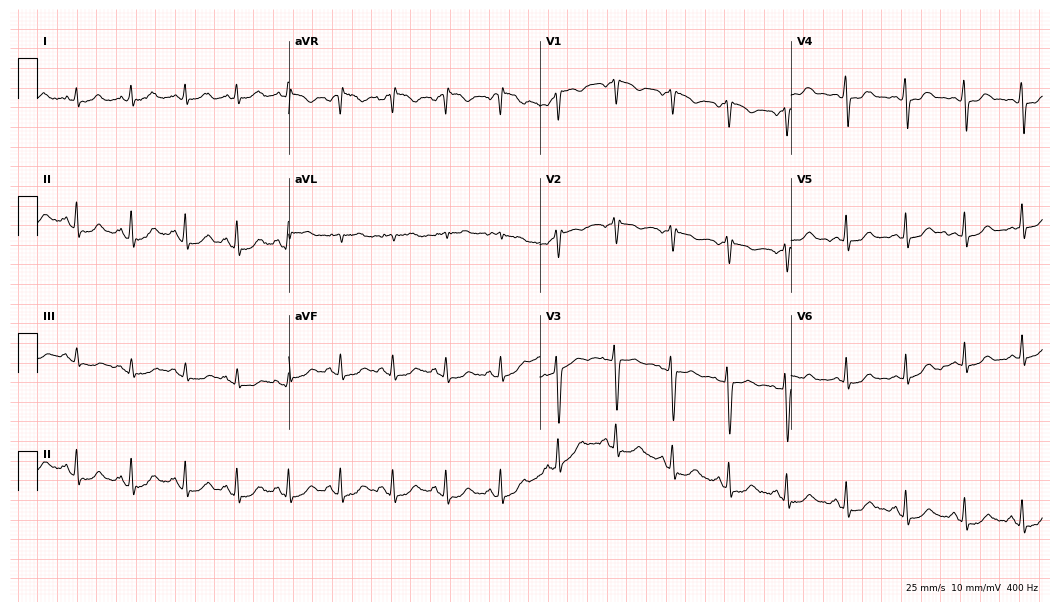
Resting 12-lead electrocardiogram. Patient: a 42-year-old female. The tracing shows sinus tachycardia (a sinus rate of 100 beats per minute or more).